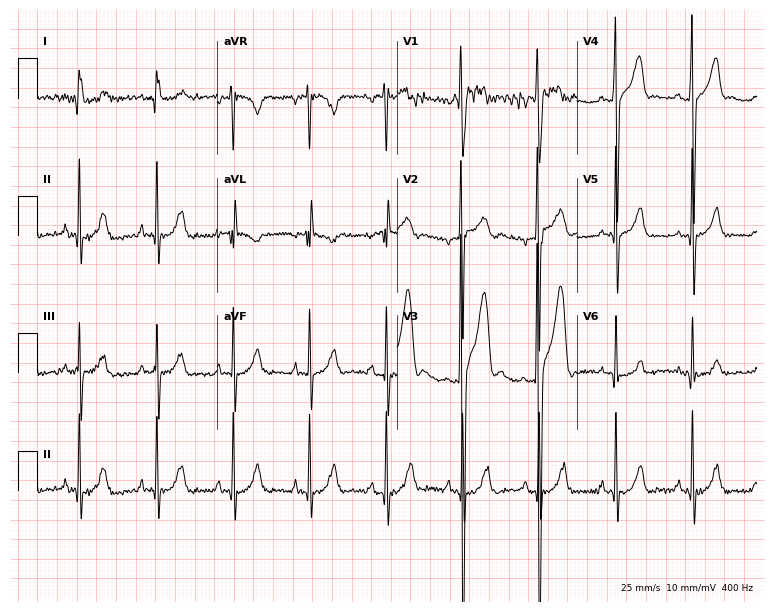
Standard 12-lead ECG recorded from a male, 18 years old. None of these six findings is recorded: first-degree AV block, right bundle branch block, left bundle branch block, sinus bradycardia, atrial fibrillation, sinus tachycardia.